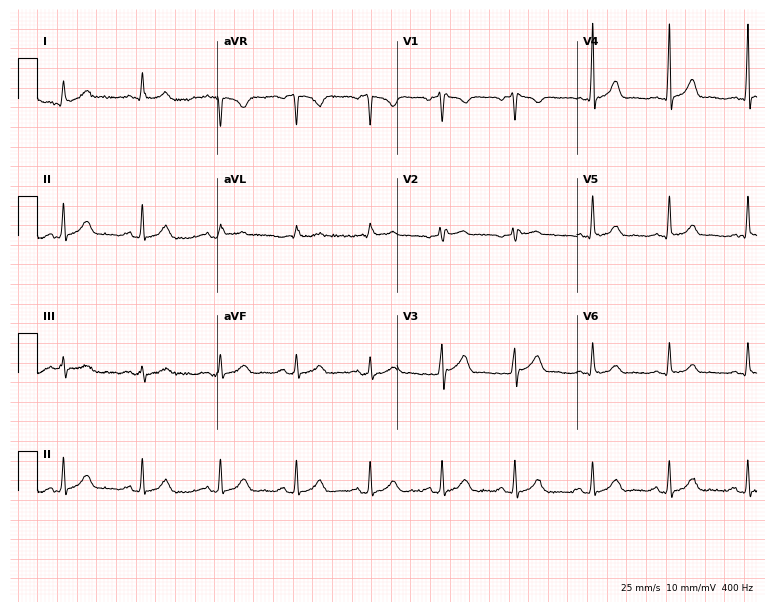
12-lead ECG from a male patient, 50 years old (7.3-second recording at 400 Hz). No first-degree AV block, right bundle branch block, left bundle branch block, sinus bradycardia, atrial fibrillation or sinus tachycardia recorded for this tracing.